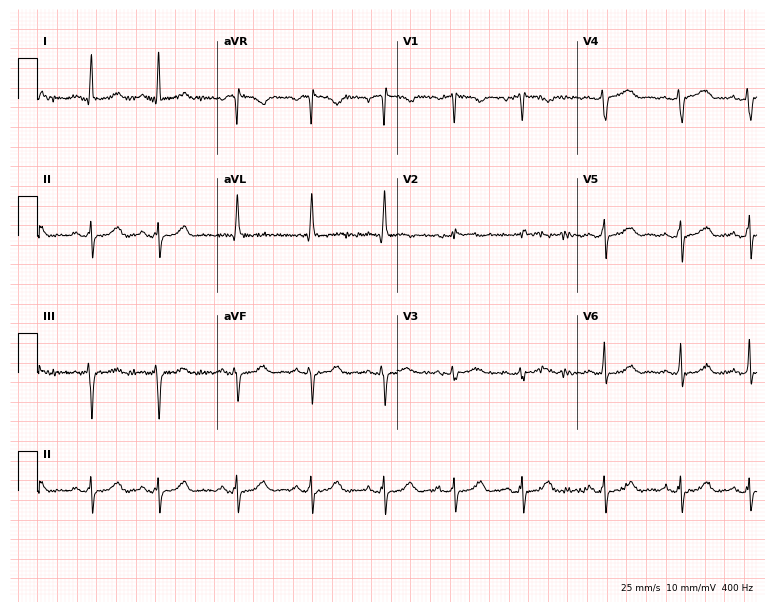
12-lead ECG from a female patient, 64 years old. Screened for six findings — first-degree AV block, right bundle branch block, left bundle branch block, sinus bradycardia, atrial fibrillation, sinus tachycardia — none is recorded.